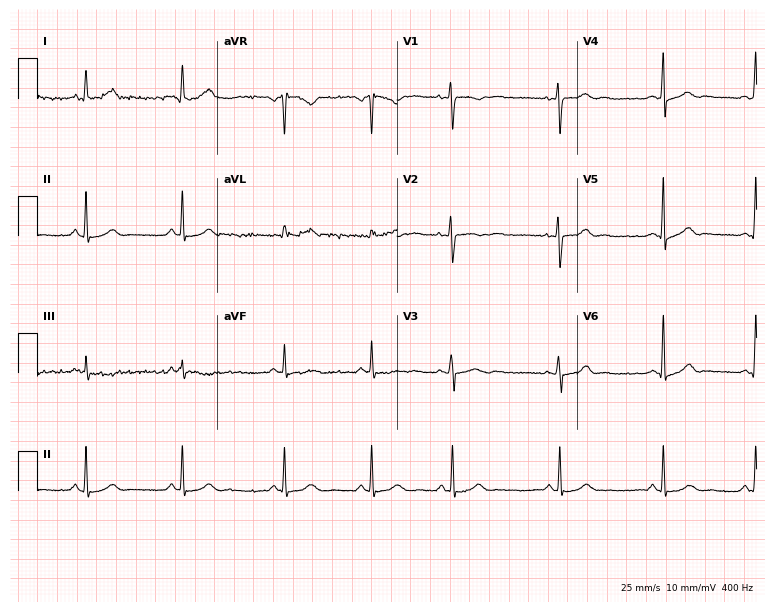
Electrocardiogram (7.3-second recording at 400 Hz), a 29-year-old female patient. Overall reading on record: normal ECG.